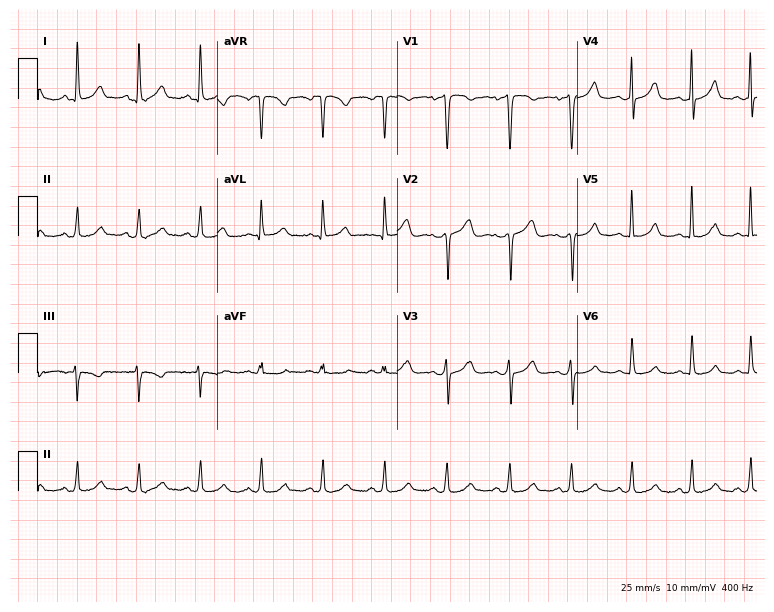
Electrocardiogram (7.3-second recording at 400 Hz), a female patient, 53 years old. Overall reading on record: normal ECG.